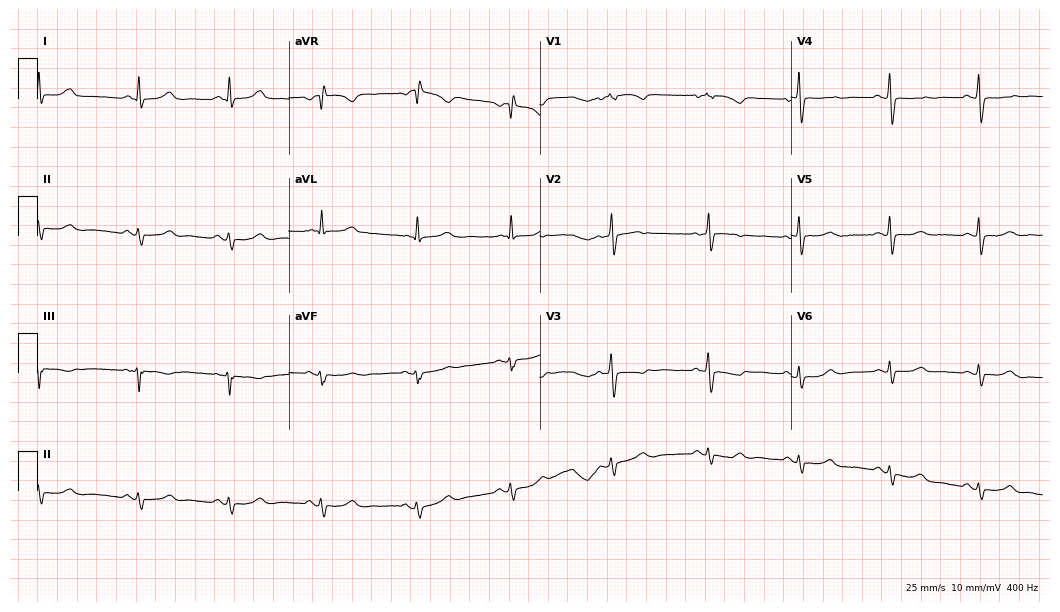
Resting 12-lead electrocardiogram. Patient: a woman, 58 years old. None of these six findings is recorded: first-degree AV block, right bundle branch block (RBBB), left bundle branch block (LBBB), sinus bradycardia, atrial fibrillation (AF), sinus tachycardia. Findings outside these six are not listed.